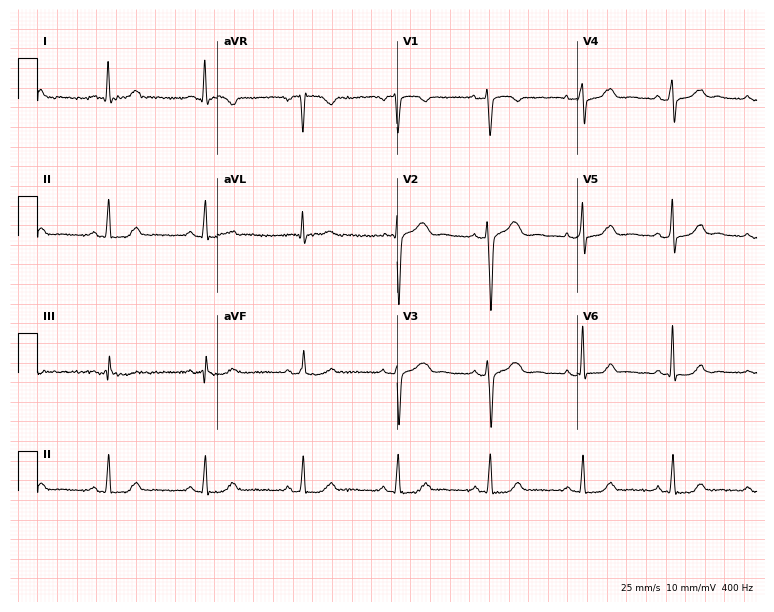
Standard 12-lead ECG recorded from a female, 35 years old. Read as a normal ECG.